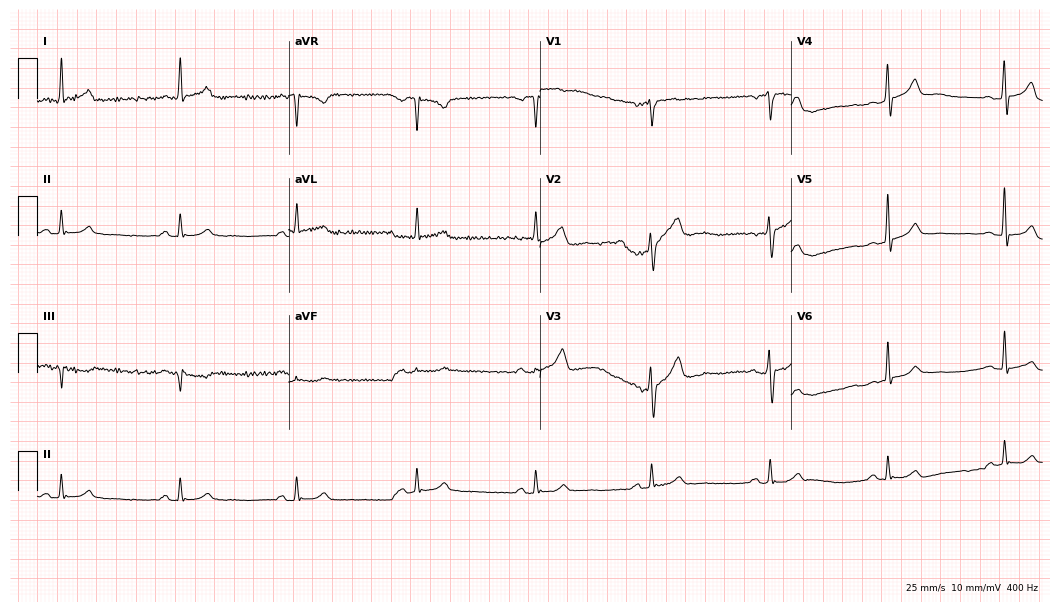
Resting 12-lead electrocardiogram (10.2-second recording at 400 Hz). Patient: a male, 75 years old. The tracing shows sinus bradycardia (a sinus rate of 50 beats per minute or less).